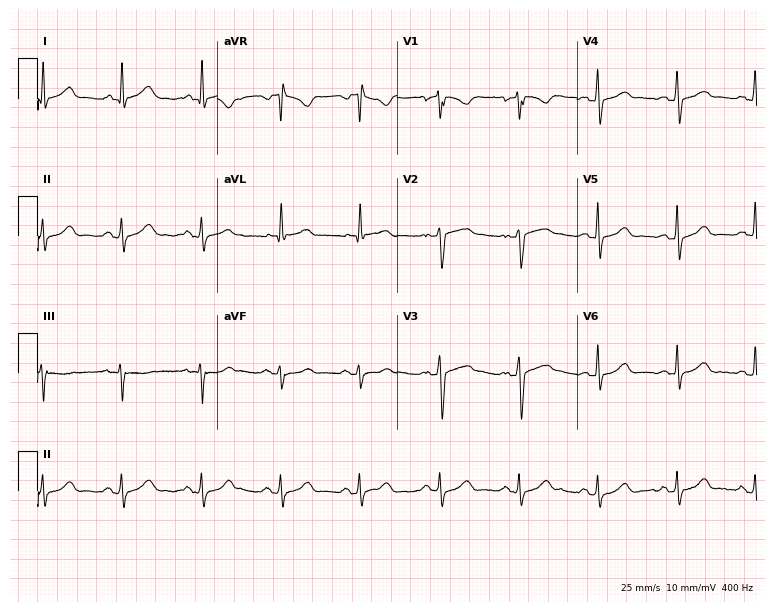
Resting 12-lead electrocardiogram (7.3-second recording at 400 Hz). Patient: a 44-year-old male. Read as a normal ECG.